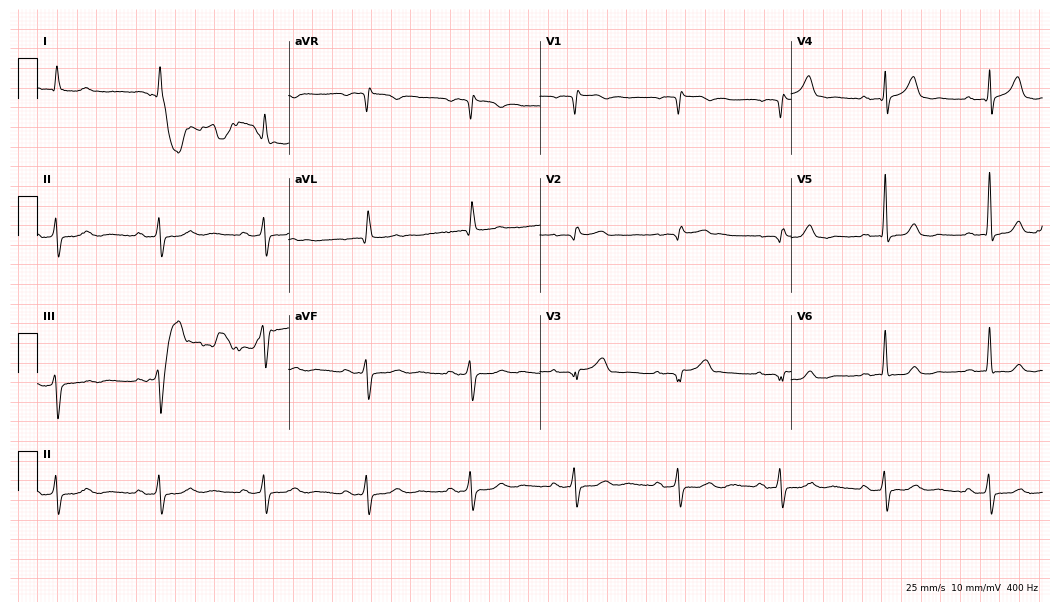
ECG — a 70-year-old man. Screened for six findings — first-degree AV block, right bundle branch block (RBBB), left bundle branch block (LBBB), sinus bradycardia, atrial fibrillation (AF), sinus tachycardia — none is recorded. Findings outside these six are not listed.